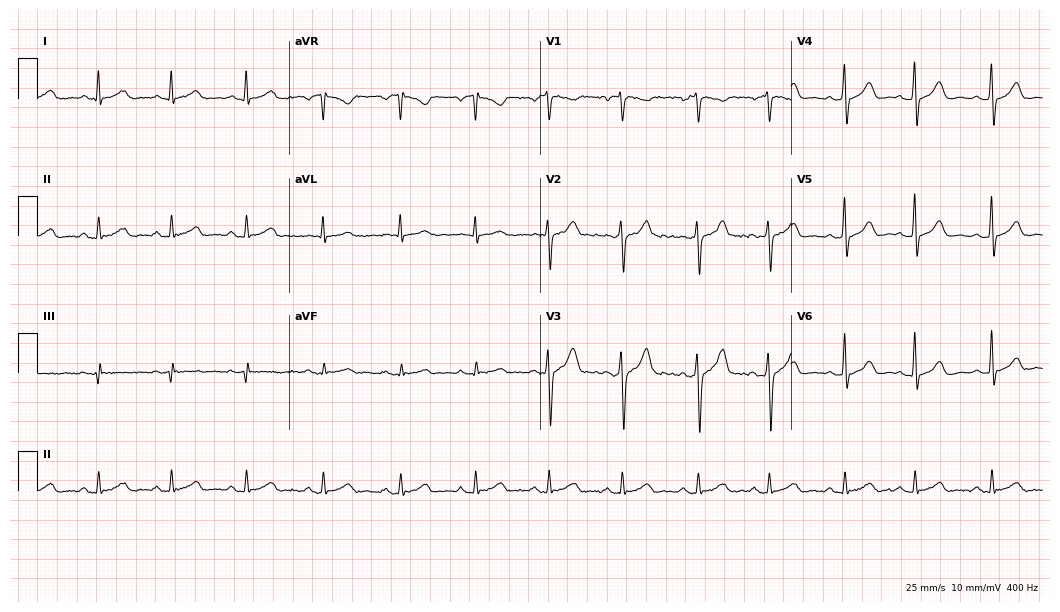
ECG (10.2-second recording at 400 Hz) — a 36-year-old man. Labelled as a normal ECG.